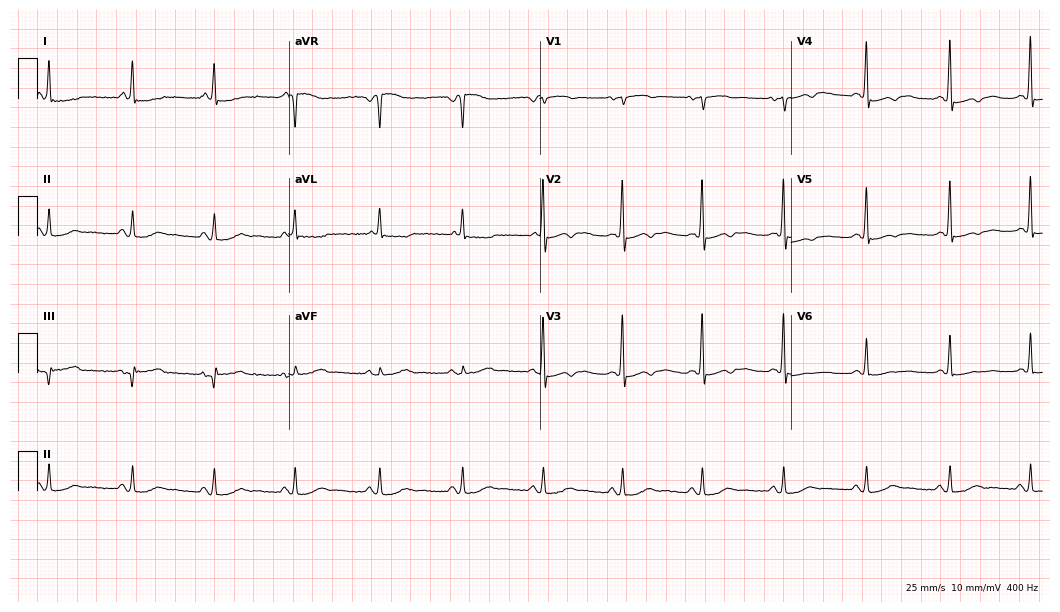
Electrocardiogram (10.2-second recording at 400 Hz), a 65-year-old female. Of the six screened findings (first-degree AV block, right bundle branch block, left bundle branch block, sinus bradycardia, atrial fibrillation, sinus tachycardia), none is recorded.